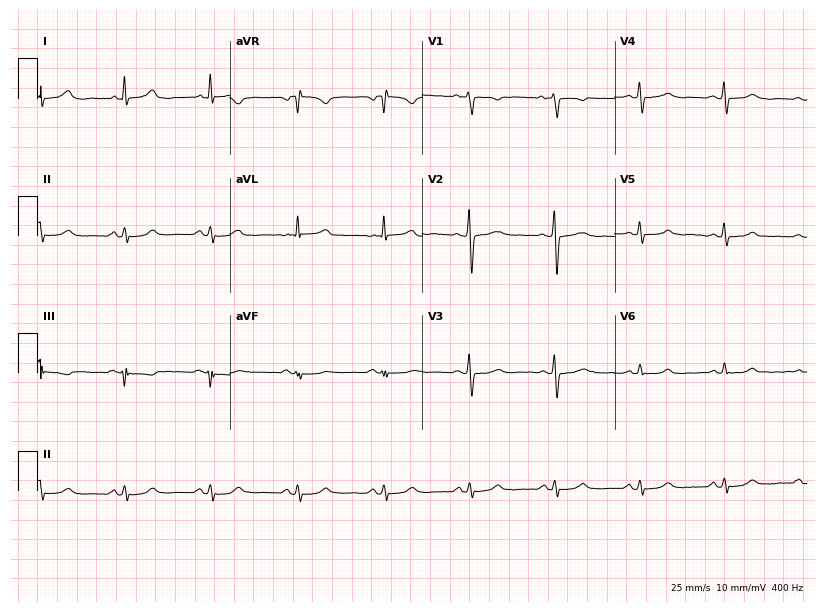
12-lead ECG (7.8-second recording at 400 Hz) from a 61-year-old female. Labelled as a normal ECG.